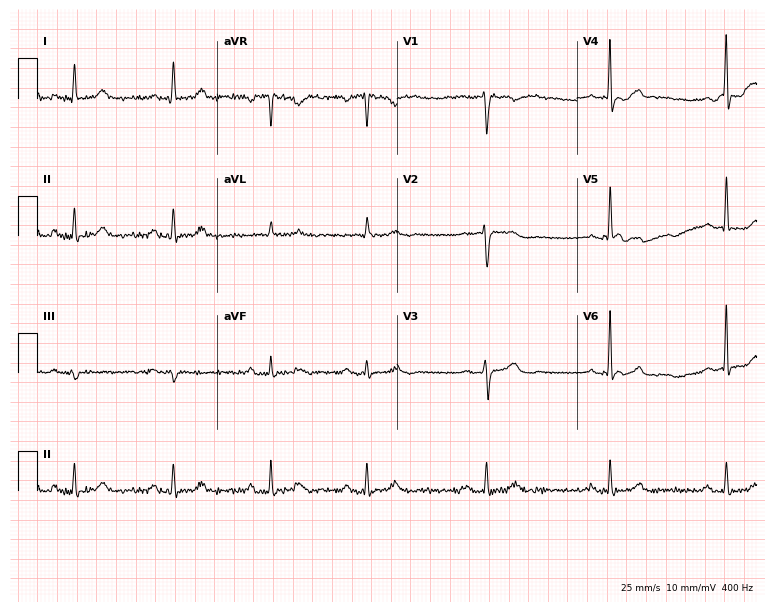
ECG — a female patient, 47 years old. Screened for six findings — first-degree AV block, right bundle branch block (RBBB), left bundle branch block (LBBB), sinus bradycardia, atrial fibrillation (AF), sinus tachycardia — none is recorded.